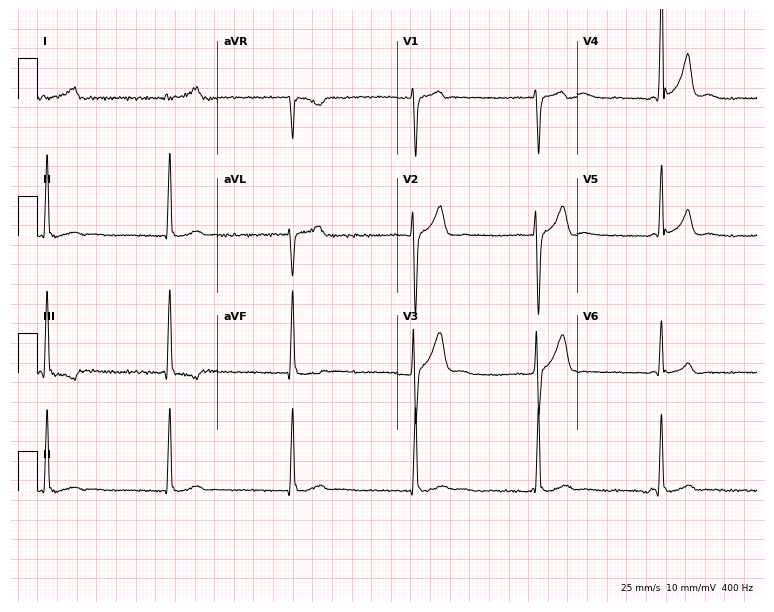
Electrocardiogram, a 22-year-old male. Interpretation includes sinus bradycardia (a sinus rate of 50 beats per minute or less).